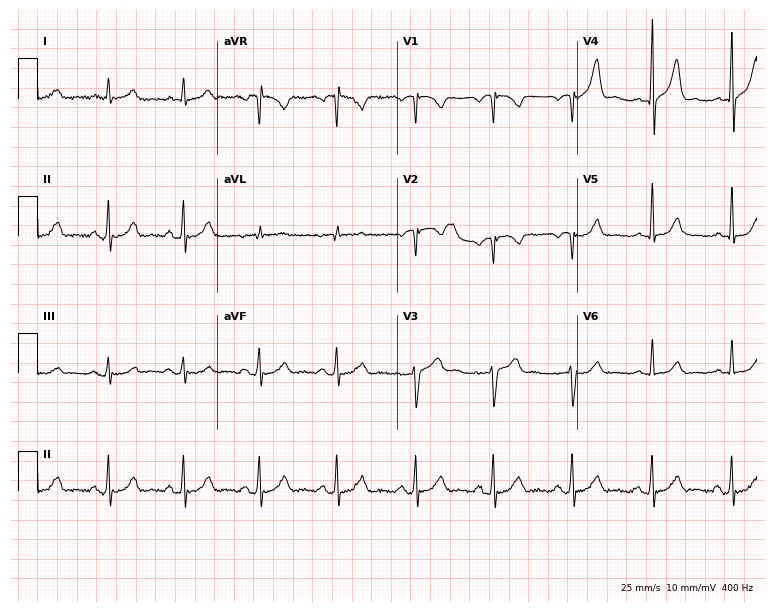
Standard 12-lead ECG recorded from a 51-year-old male patient (7.3-second recording at 400 Hz). None of these six findings is recorded: first-degree AV block, right bundle branch block (RBBB), left bundle branch block (LBBB), sinus bradycardia, atrial fibrillation (AF), sinus tachycardia. Findings outside these six are not listed.